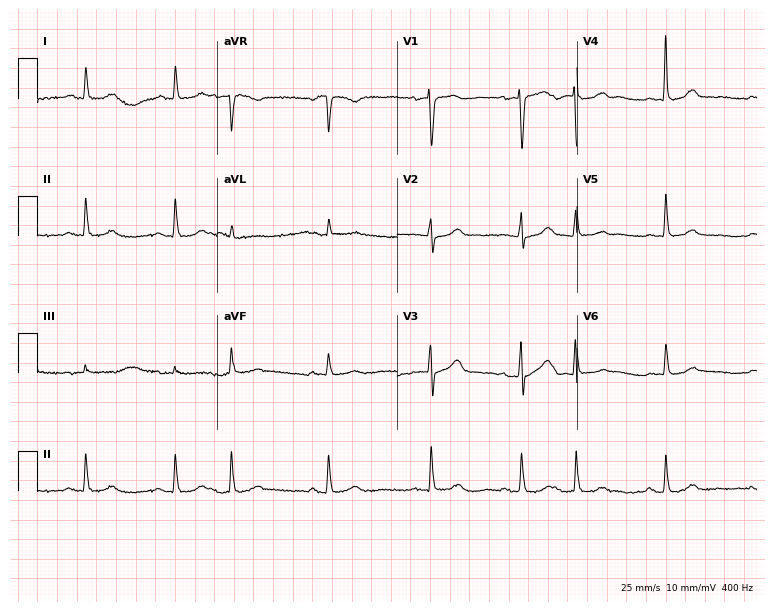
ECG — a female, 83 years old. Screened for six findings — first-degree AV block, right bundle branch block (RBBB), left bundle branch block (LBBB), sinus bradycardia, atrial fibrillation (AF), sinus tachycardia — none is recorded.